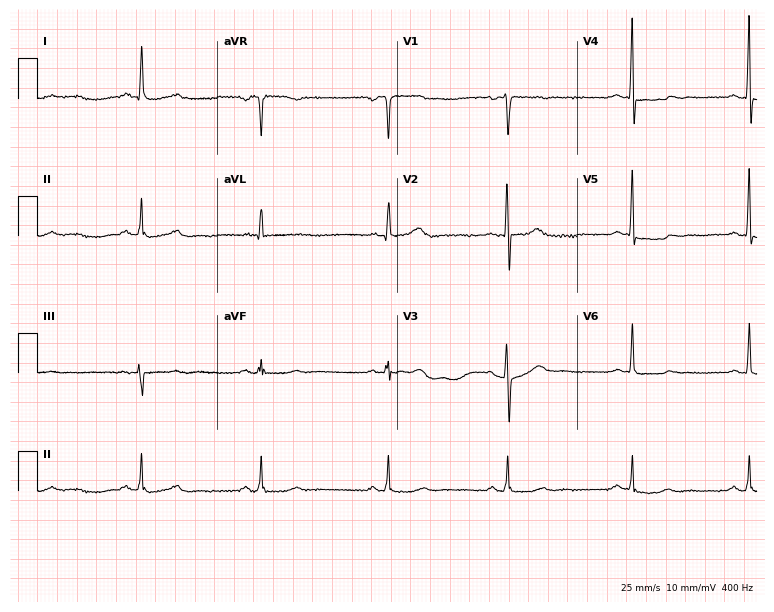
Standard 12-lead ECG recorded from a 43-year-old woman (7.3-second recording at 400 Hz). None of these six findings is recorded: first-degree AV block, right bundle branch block (RBBB), left bundle branch block (LBBB), sinus bradycardia, atrial fibrillation (AF), sinus tachycardia.